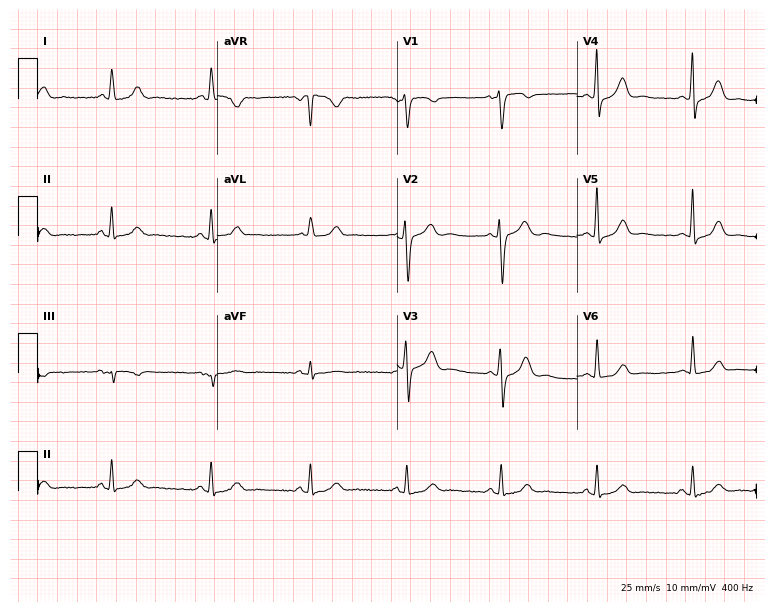
12-lead ECG from a 64-year-old female patient. Screened for six findings — first-degree AV block, right bundle branch block, left bundle branch block, sinus bradycardia, atrial fibrillation, sinus tachycardia — none is recorded.